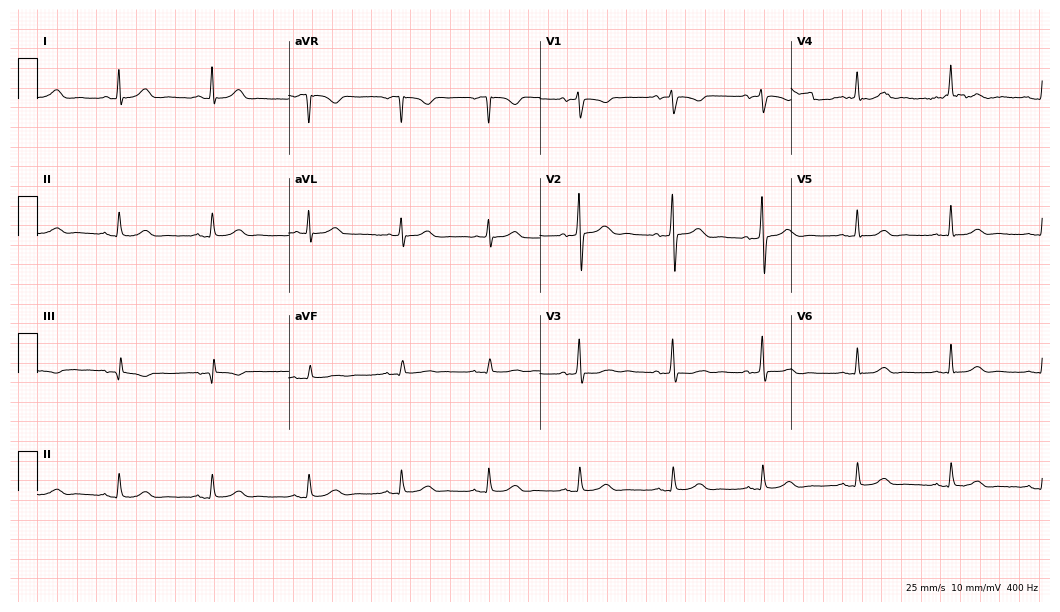
12-lead ECG from a 49-year-old female patient. Recorded interpretation: within normal limits.